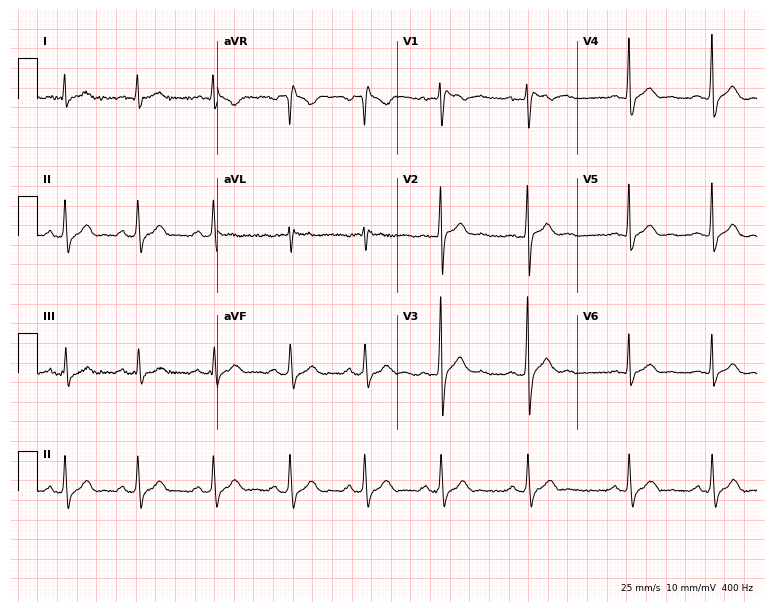
Electrocardiogram, a male patient, 32 years old. Of the six screened findings (first-degree AV block, right bundle branch block, left bundle branch block, sinus bradycardia, atrial fibrillation, sinus tachycardia), none is recorded.